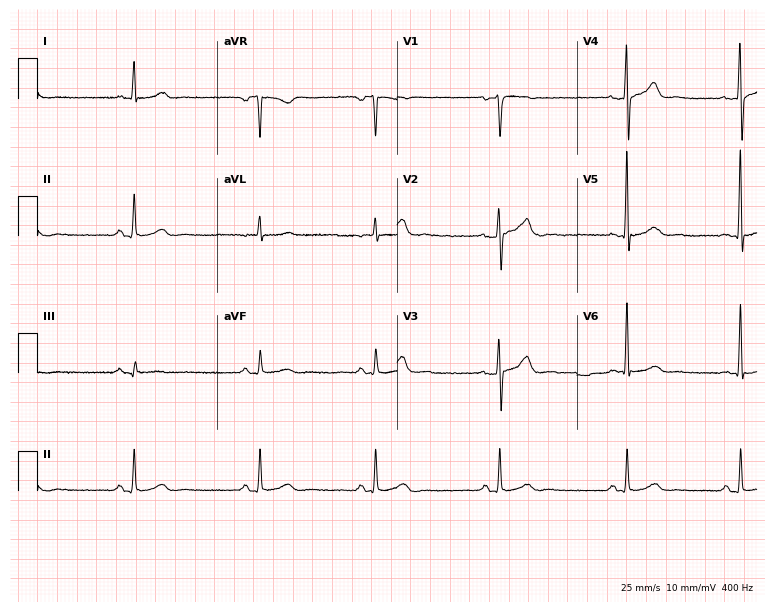
ECG (7.3-second recording at 400 Hz) — a 43-year-old man. Labelled as a normal ECG.